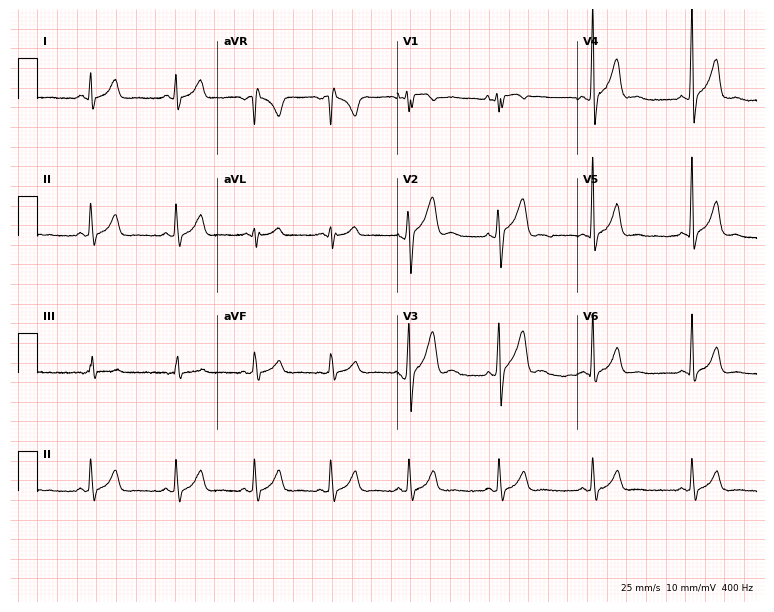
12-lead ECG from a male patient, 22 years old. Labelled as a normal ECG.